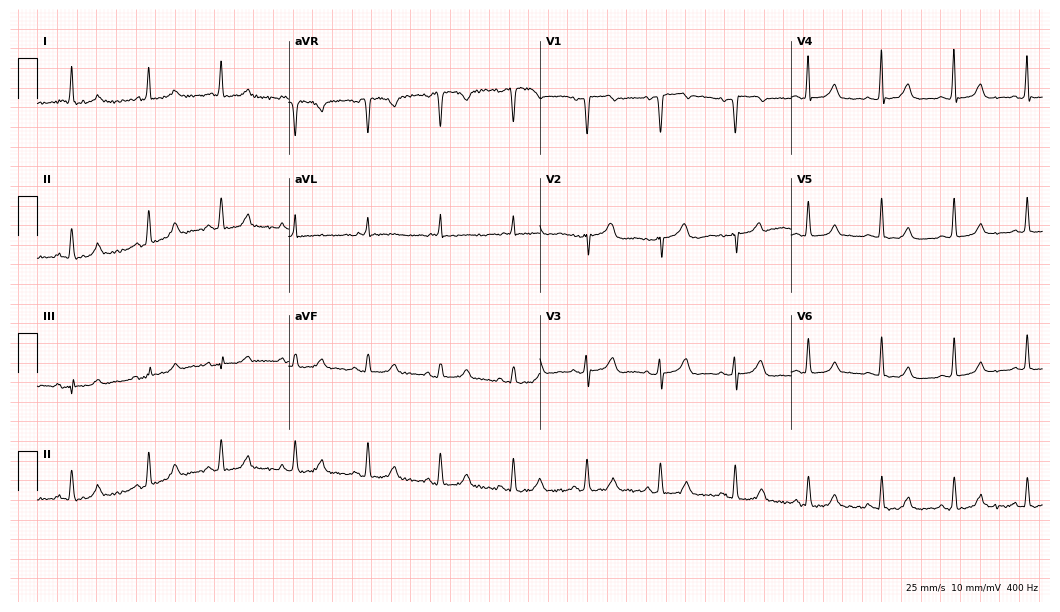
12-lead ECG (10.2-second recording at 400 Hz) from a female, 68 years old. Labelled as a normal ECG.